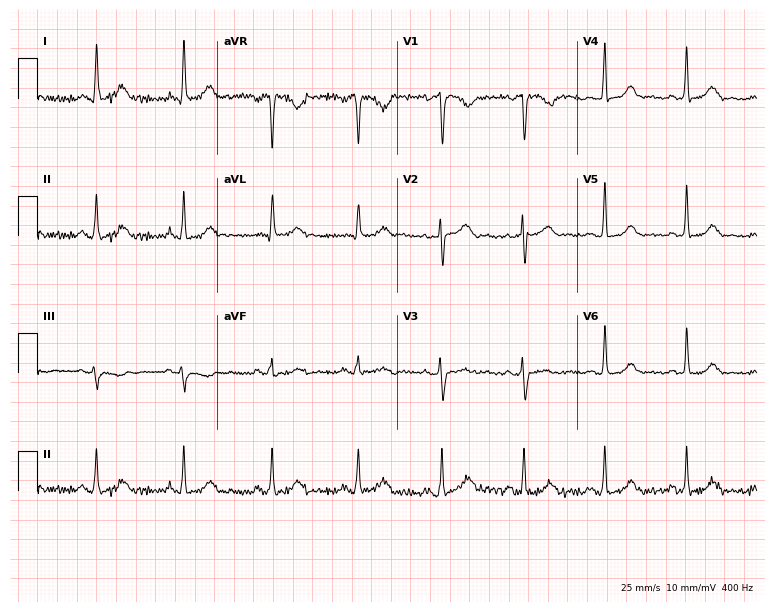
Electrocardiogram (7.3-second recording at 400 Hz), a female patient, 57 years old. Overall reading on record: normal ECG.